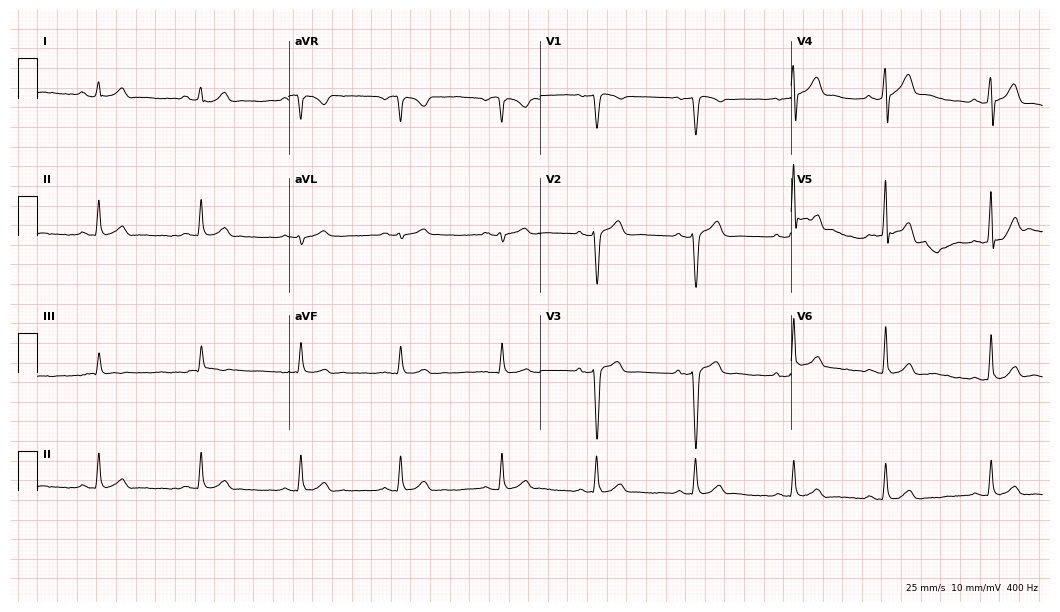
Standard 12-lead ECG recorded from a male, 26 years old (10.2-second recording at 400 Hz). Read as a normal ECG.